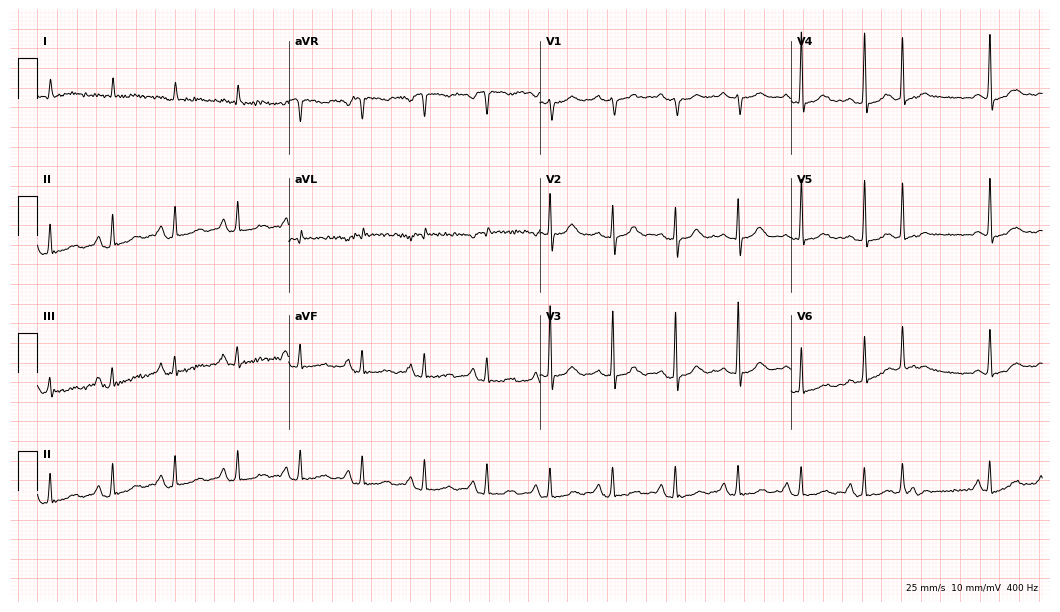
ECG (10.2-second recording at 400 Hz) — an 85-year-old woman. Labelled as a normal ECG.